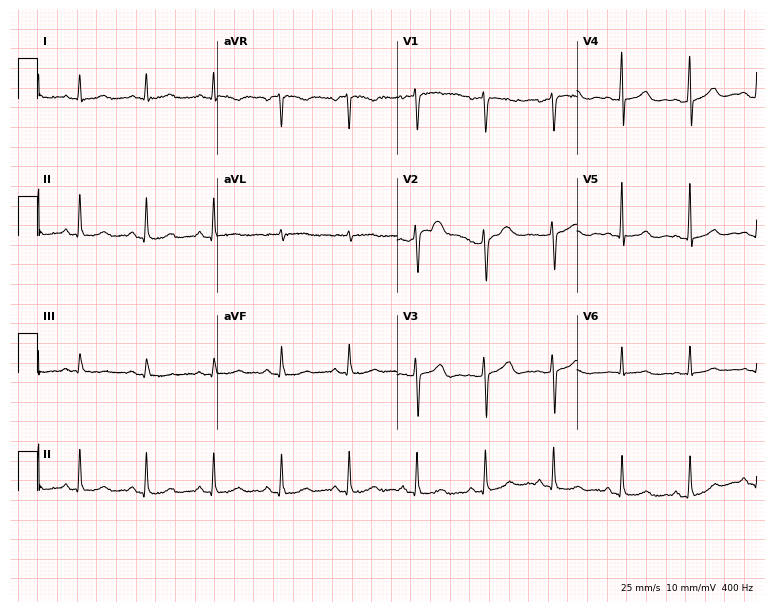
12-lead ECG from a 55-year-old female patient (7.3-second recording at 400 Hz). Recorded interpretation: within normal limits.